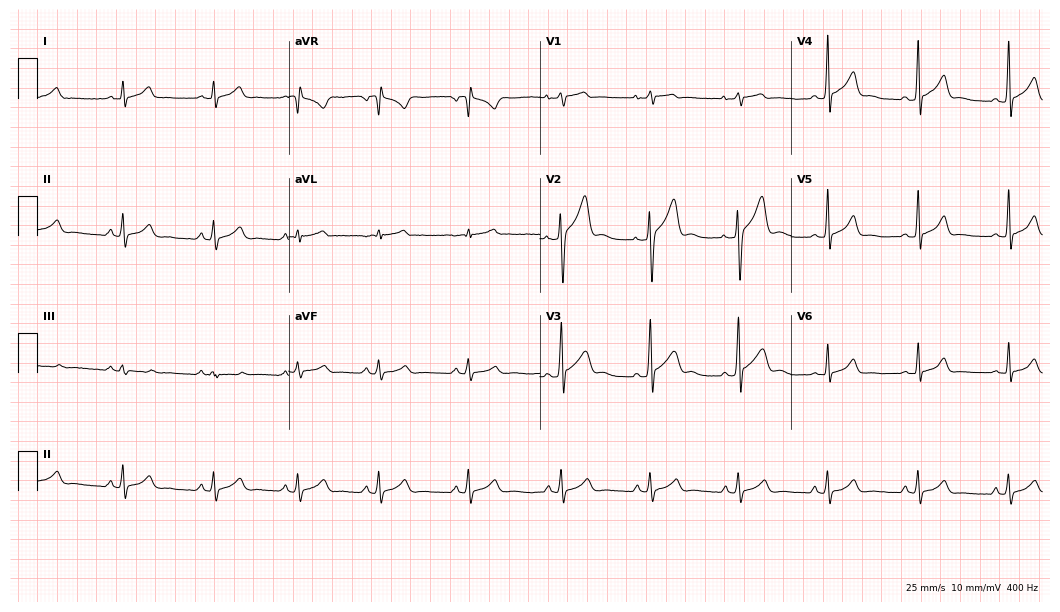
Standard 12-lead ECG recorded from a 33-year-old male (10.2-second recording at 400 Hz). Read as a normal ECG.